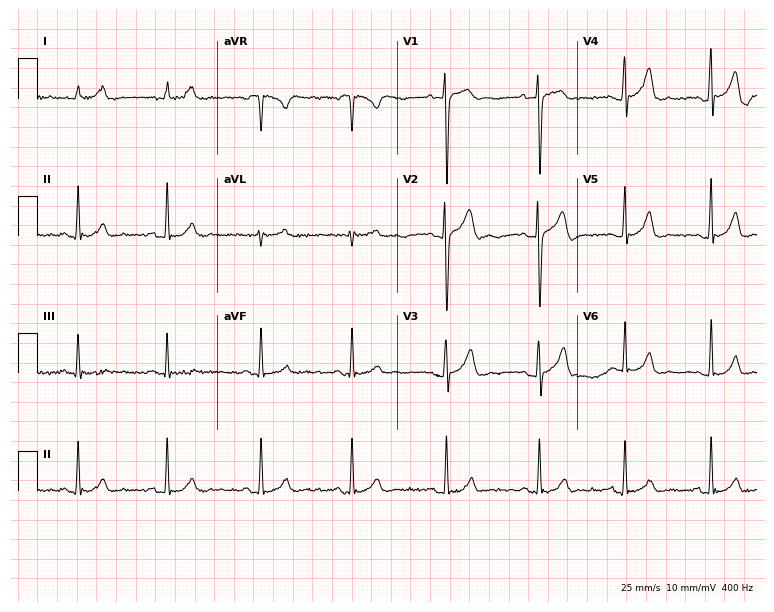
12-lead ECG from a 22-year-old male patient (7.3-second recording at 400 Hz). Recorded interpretation: within normal limits.